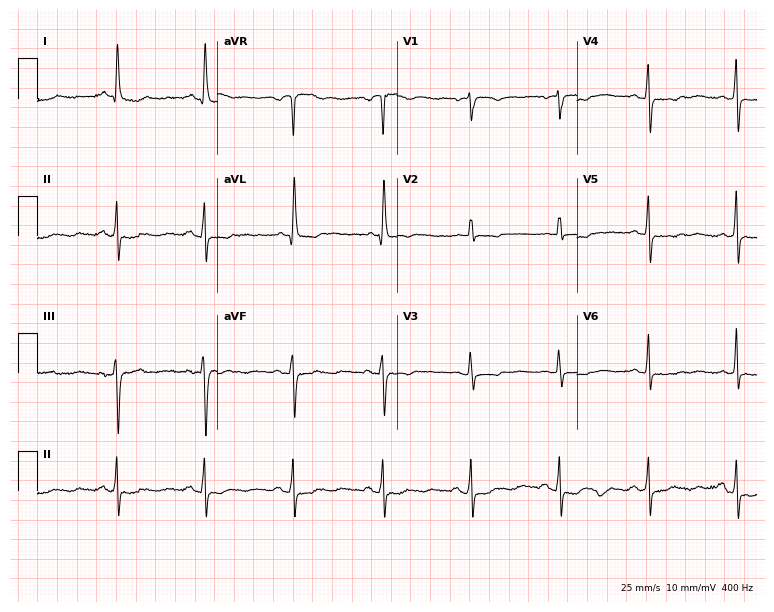
12-lead ECG from a female patient, 65 years old. No first-degree AV block, right bundle branch block, left bundle branch block, sinus bradycardia, atrial fibrillation or sinus tachycardia recorded for this tracing.